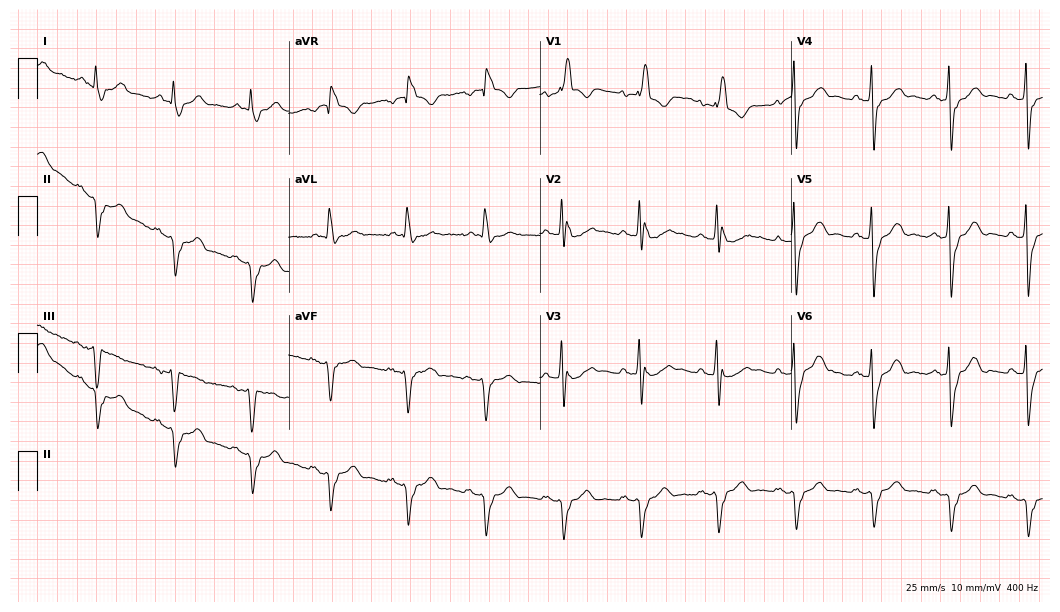
Resting 12-lead electrocardiogram (10.2-second recording at 400 Hz). Patient: a 76-year-old male. The tracing shows right bundle branch block.